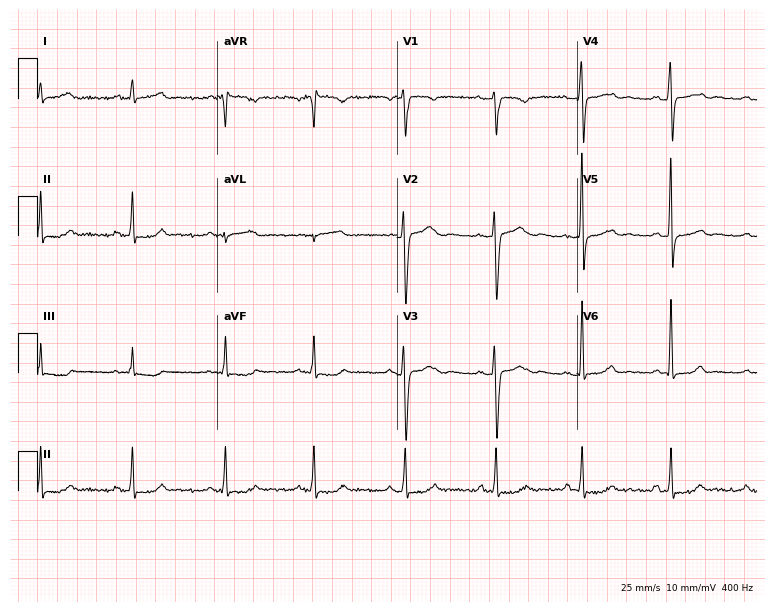
Resting 12-lead electrocardiogram. Patient: a woman, 38 years old. None of these six findings is recorded: first-degree AV block, right bundle branch block, left bundle branch block, sinus bradycardia, atrial fibrillation, sinus tachycardia.